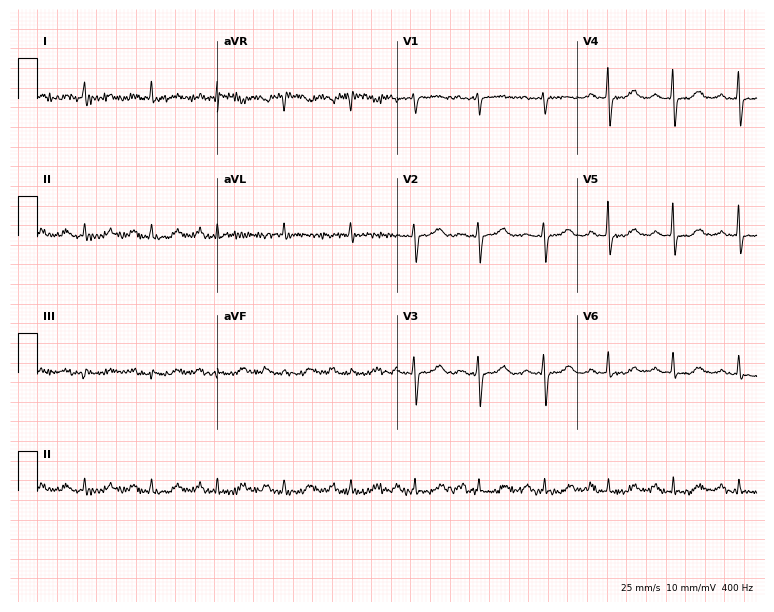
Resting 12-lead electrocardiogram (7.3-second recording at 400 Hz). Patient: a 73-year-old female. None of these six findings is recorded: first-degree AV block, right bundle branch block, left bundle branch block, sinus bradycardia, atrial fibrillation, sinus tachycardia. Findings outside these six are not listed.